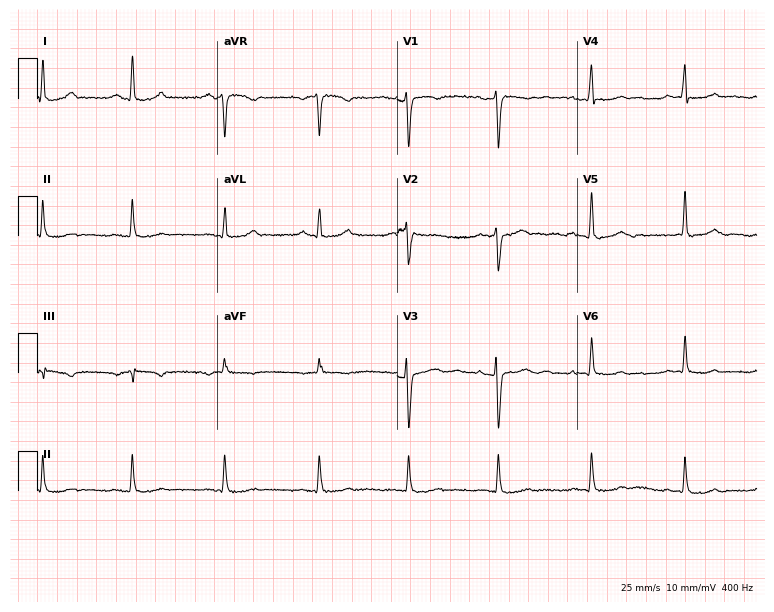
12-lead ECG from a 44-year-old woman. Recorded interpretation: within normal limits.